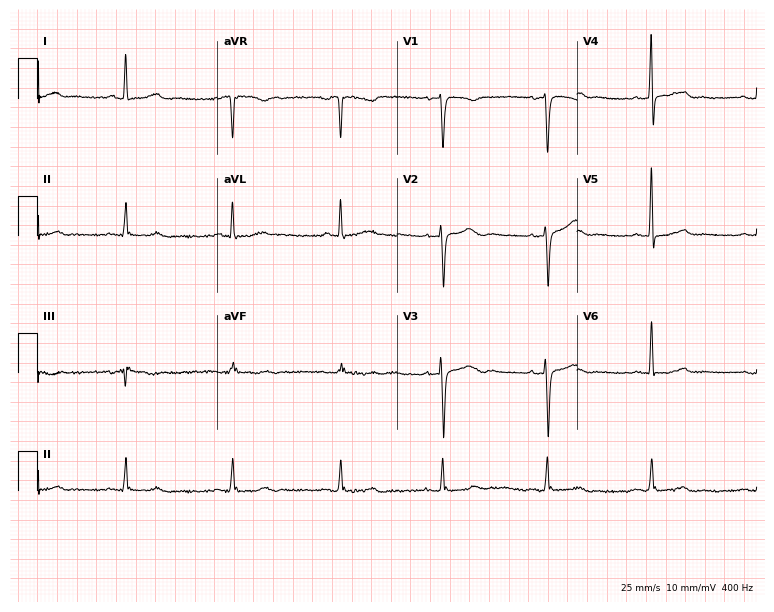
Standard 12-lead ECG recorded from a female, 53 years old (7.3-second recording at 400 Hz). Read as a normal ECG.